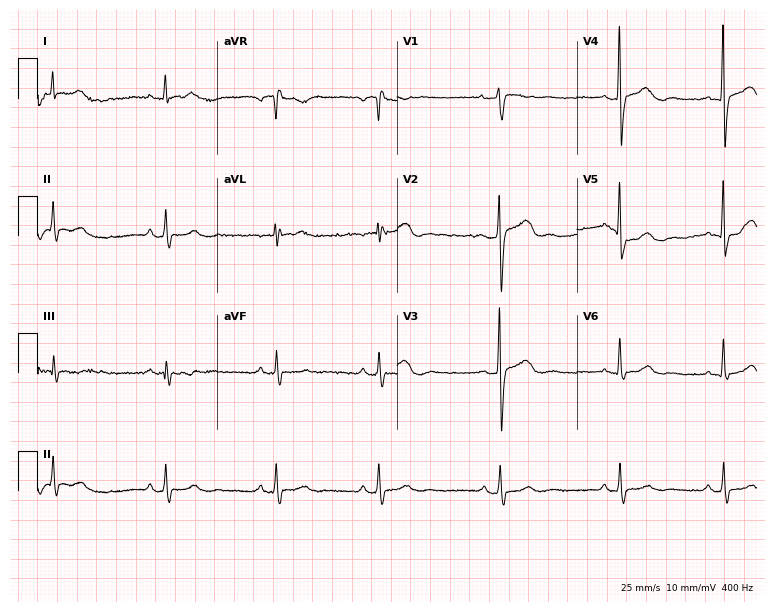
Standard 12-lead ECG recorded from a 24-year-old woman. None of these six findings is recorded: first-degree AV block, right bundle branch block (RBBB), left bundle branch block (LBBB), sinus bradycardia, atrial fibrillation (AF), sinus tachycardia. Other findings, if any, are not listed.